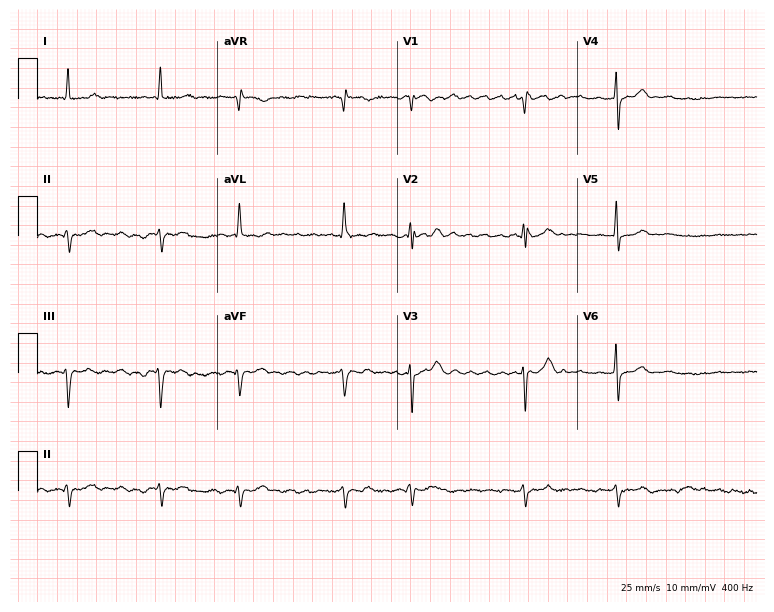
Resting 12-lead electrocardiogram (7.3-second recording at 400 Hz). Patient: an 83-year-old female. The tracing shows atrial fibrillation.